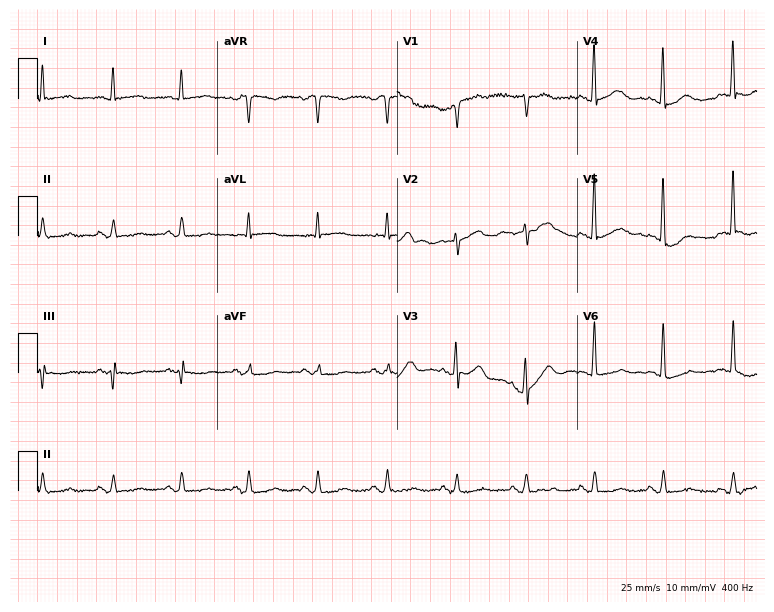
12-lead ECG from an 82-year-old male. Labelled as a normal ECG.